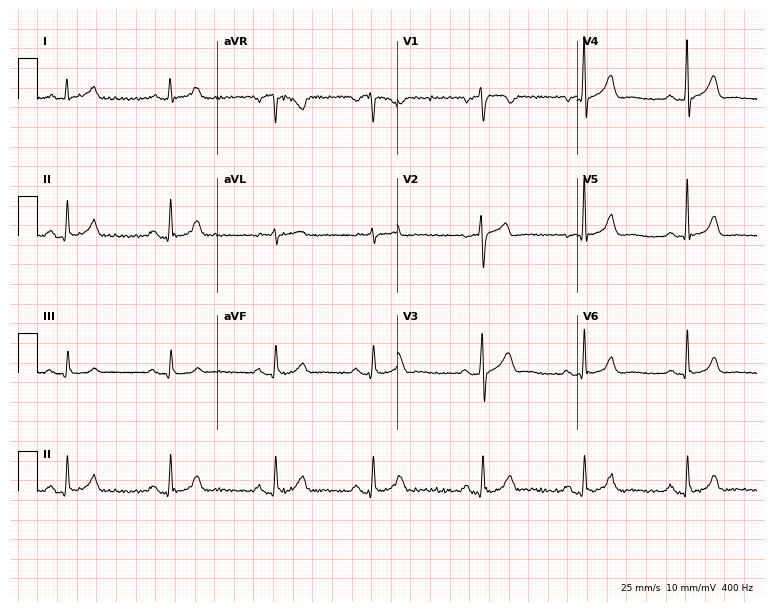
Electrocardiogram, a 59-year-old male. Of the six screened findings (first-degree AV block, right bundle branch block, left bundle branch block, sinus bradycardia, atrial fibrillation, sinus tachycardia), none is recorded. Other findings, if any, are not listed.